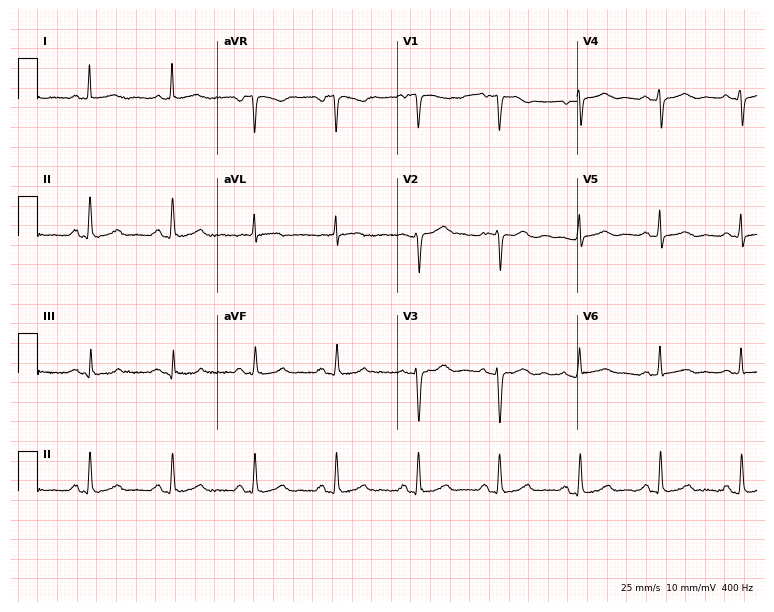
ECG — a 64-year-old woman. Labelled as a normal ECG.